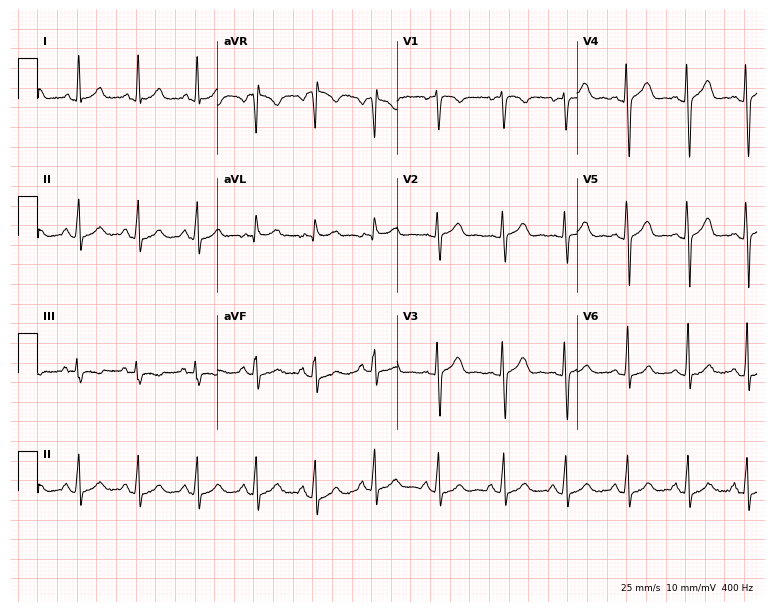
Electrocardiogram, a 19-year-old woman. Overall reading on record: normal ECG.